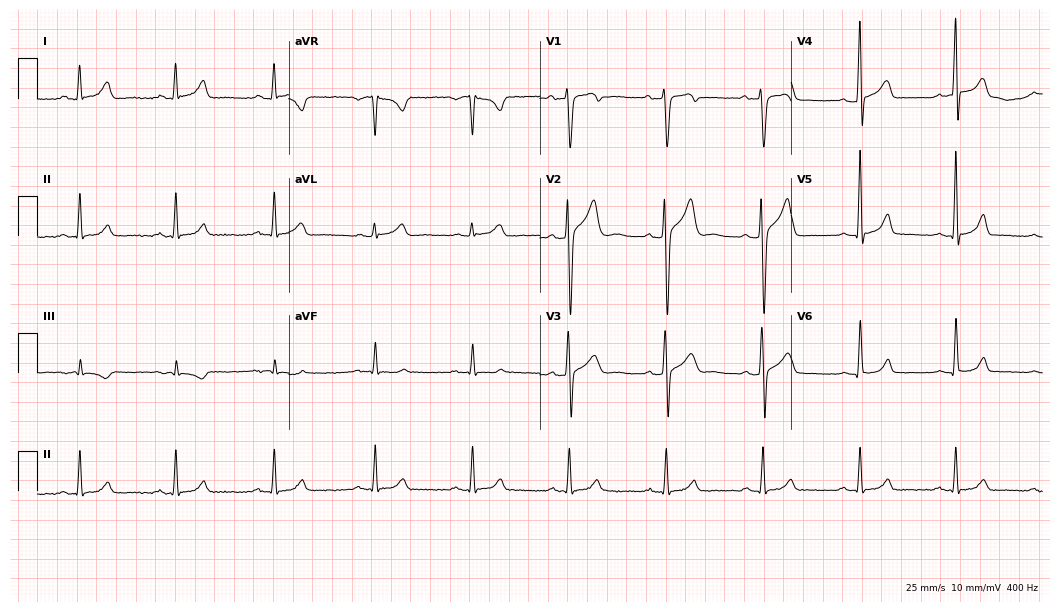
Standard 12-lead ECG recorded from a man, 51 years old (10.2-second recording at 400 Hz). Read as a normal ECG.